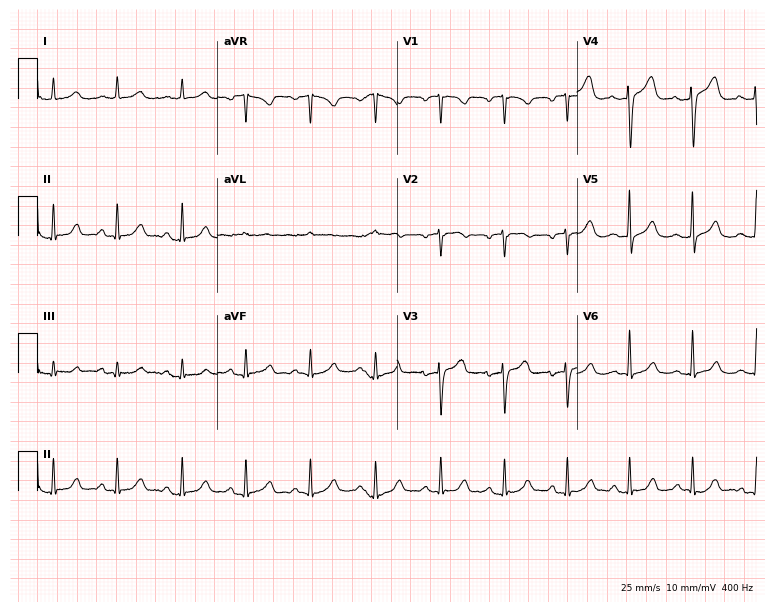
Electrocardiogram, a 62-year-old female patient. Of the six screened findings (first-degree AV block, right bundle branch block, left bundle branch block, sinus bradycardia, atrial fibrillation, sinus tachycardia), none is recorded. Findings outside these six are not listed.